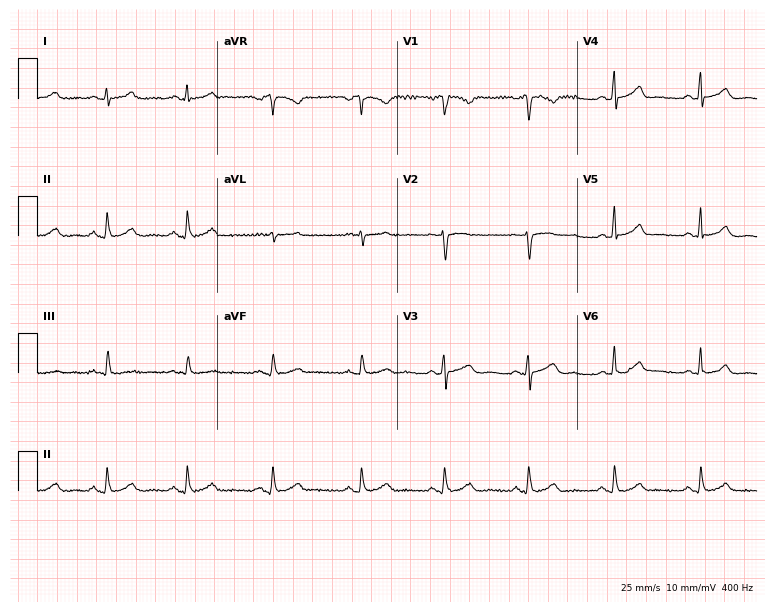
12-lead ECG (7.3-second recording at 400 Hz) from a male patient, 42 years old. Labelled as a normal ECG.